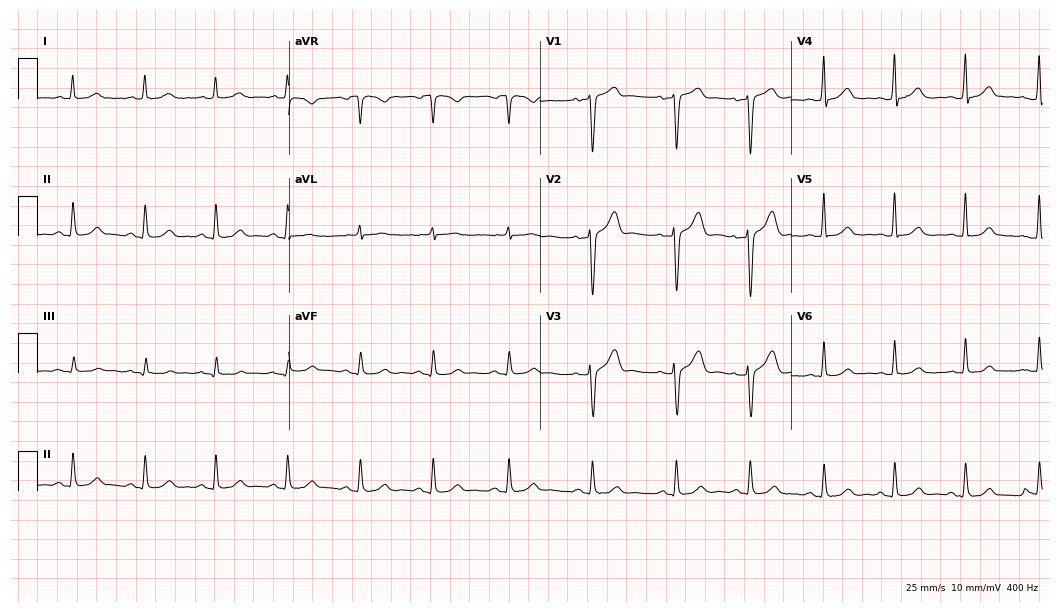
ECG (10.2-second recording at 400 Hz) — a 54-year-old male patient. Labelled as a normal ECG.